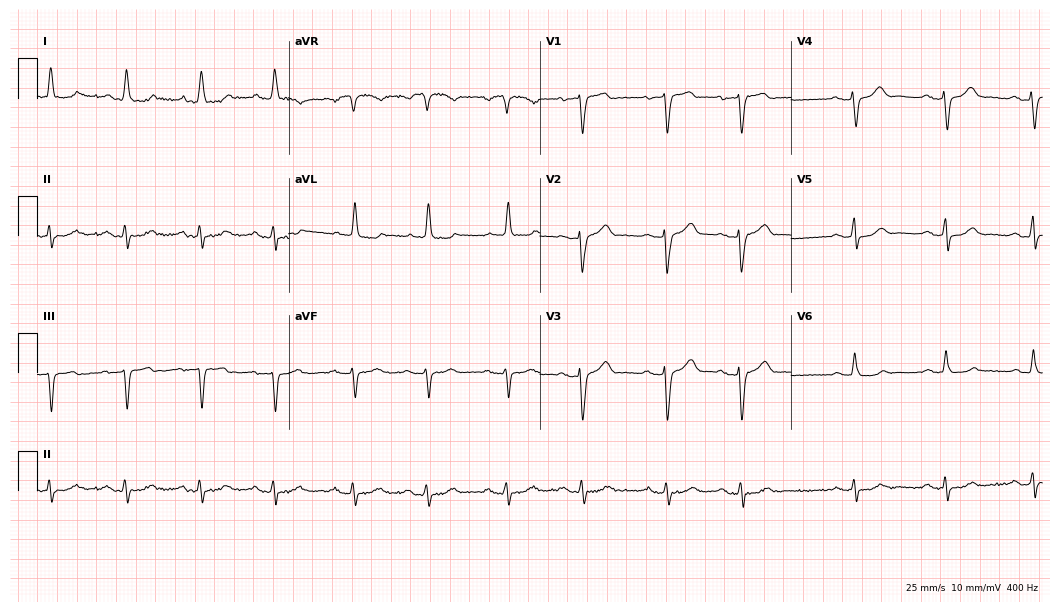
Electrocardiogram (10.2-second recording at 400 Hz), a woman, 79 years old. Of the six screened findings (first-degree AV block, right bundle branch block, left bundle branch block, sinus bradycardia, atrial fibrillation, sinus tachycardia), none is recorded. Other findings, if any, are not listed.